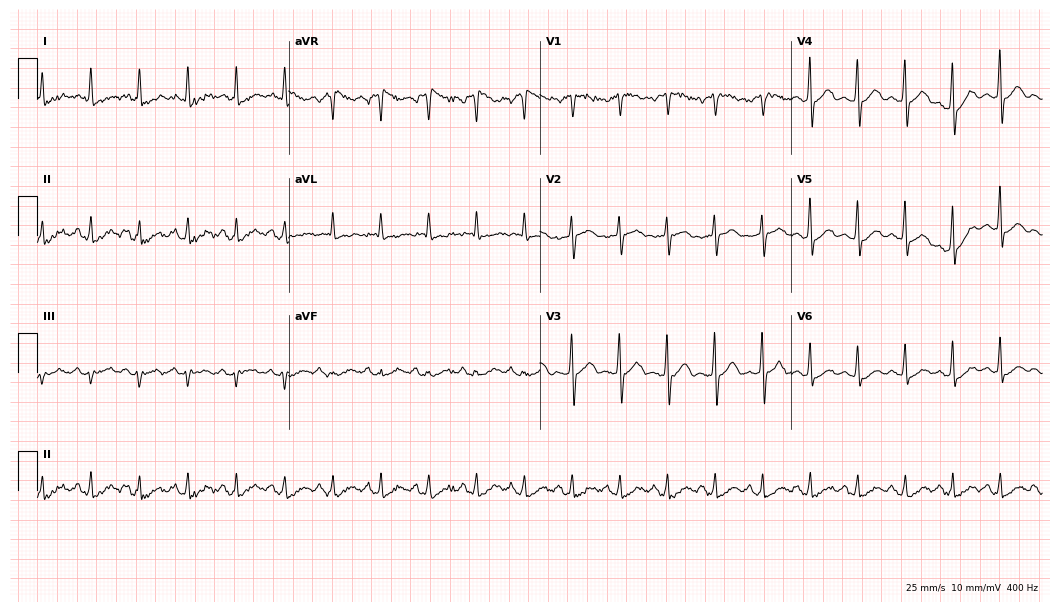
12-lead ECG from a male patient, 69 years old. Findings include sinus tachycardia (a sinus rate of 100 beats per minute or more).